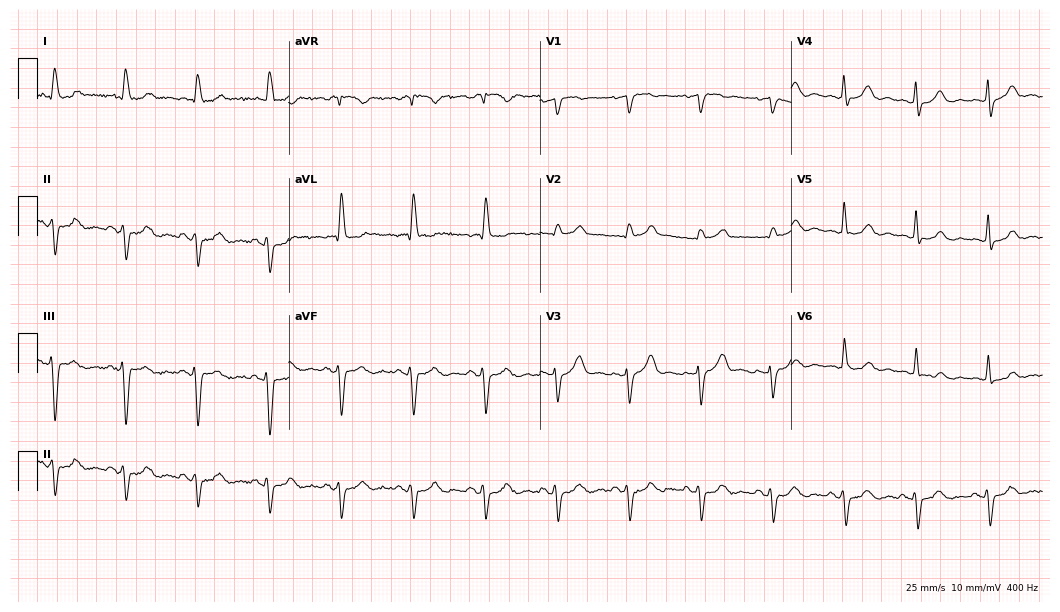
Electrocardiogram (10.2-second recording at 400 Hz), a male, 83 years old. Of the six screened findings (first-degree AV block, right bundle branch block, left bundle branch block, sinus bradycardia, atrial fibrillation, sinus tachycardia), none is recorded. Findings outside these six are not listed.